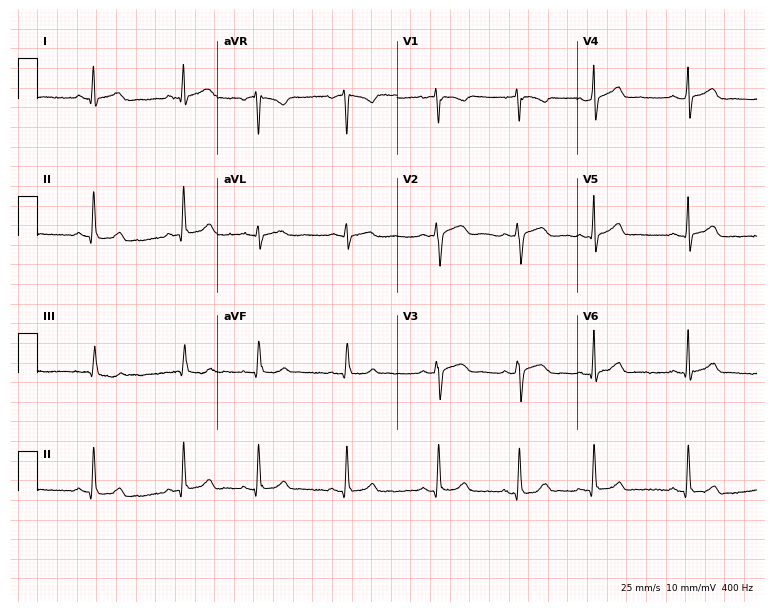
ECG — an 18-year-old female patient. Labelled as a normal ECG.